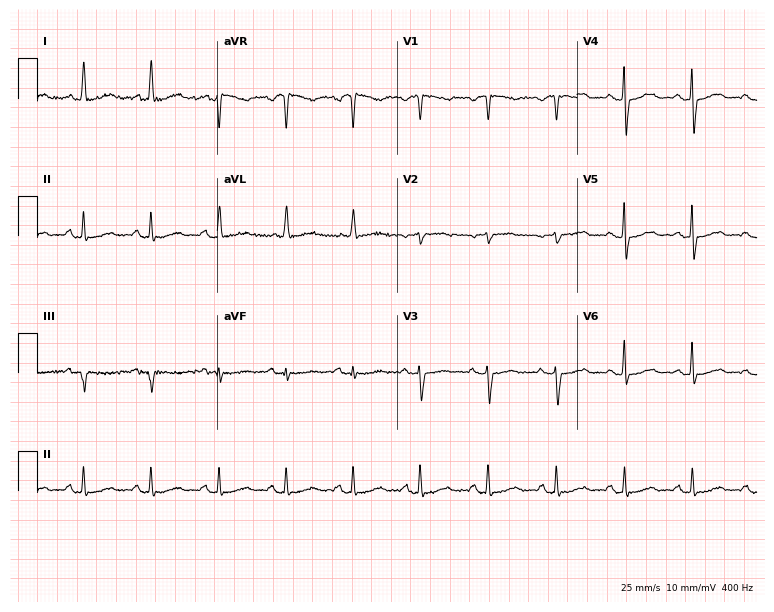
ECG — a female patient, 76 years old. Labelled as a normal ECG.